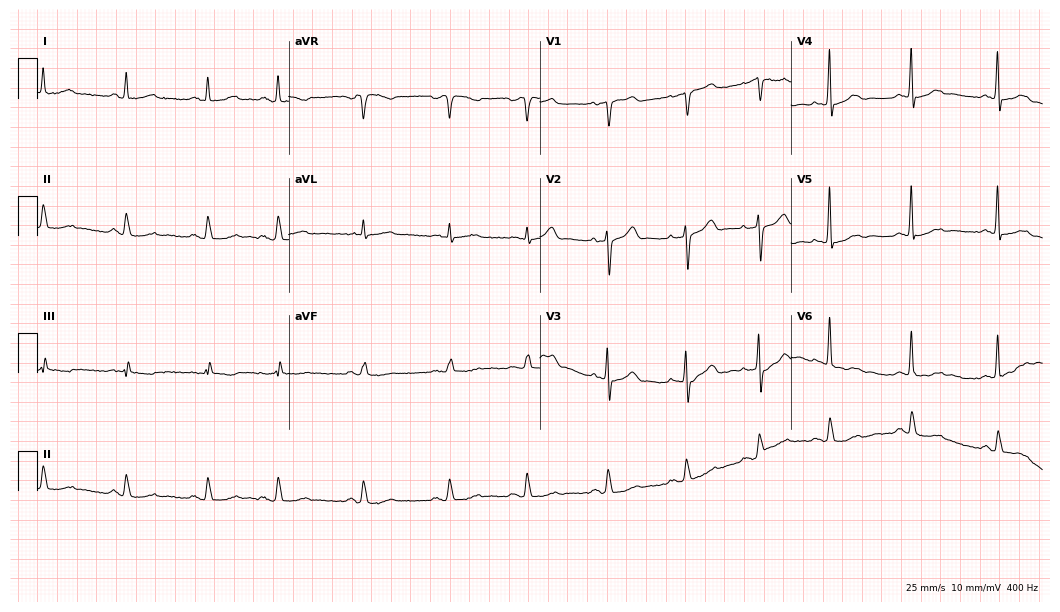
12-lead ECG from a man, 68 years old. Labelled as a normal ECG.